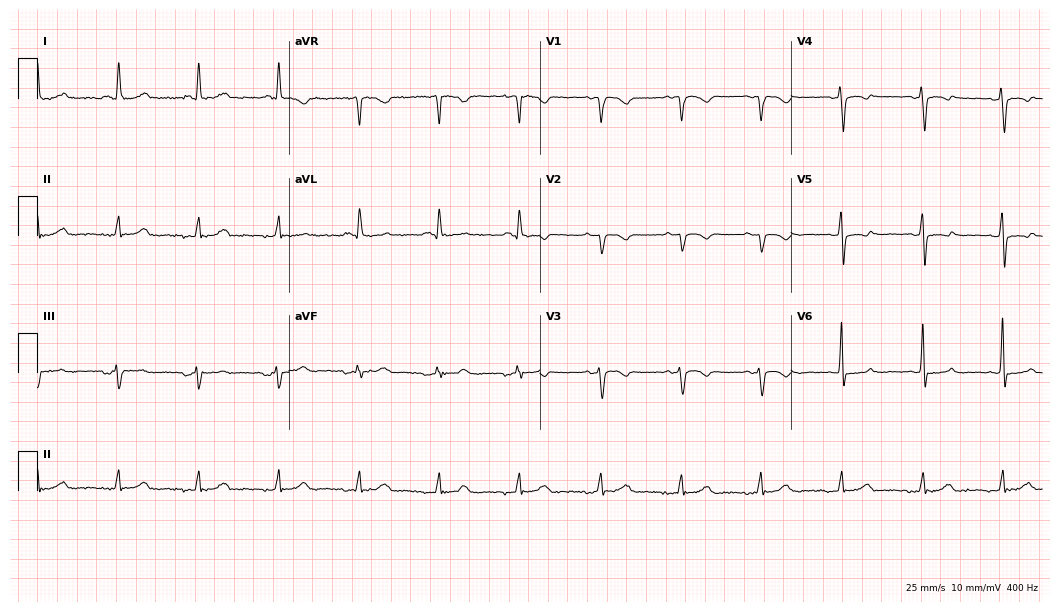
12-lead ECG from a 66-year-old female patient (10.2-second recording at 400 Hz). No first-degree AV block, right bundle branch block (RBBB), left bundle branch block (LBBB), sinus bradycardia, atrial fibrillation (AF) or sinus tachycardia recorded for this tracing. Findings outside these six are not listed.